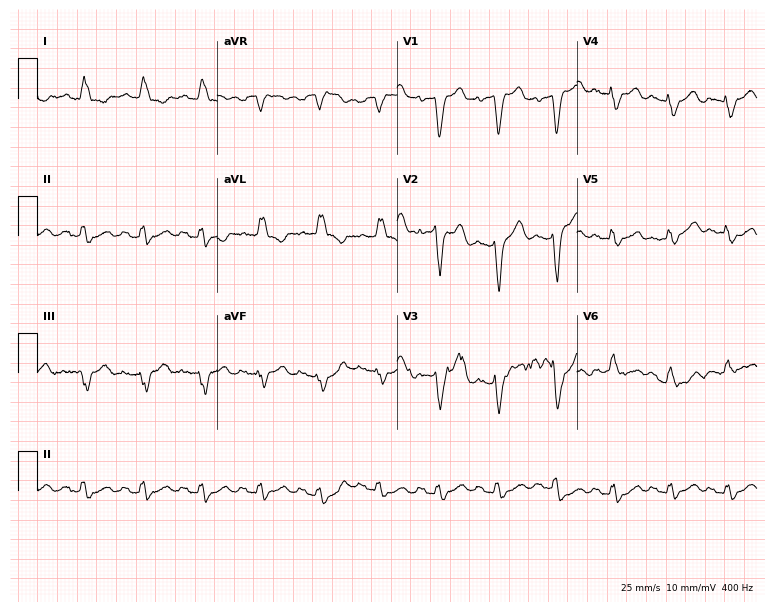
ECG — a woman, 69 years old. Findings include left bundle branch block.